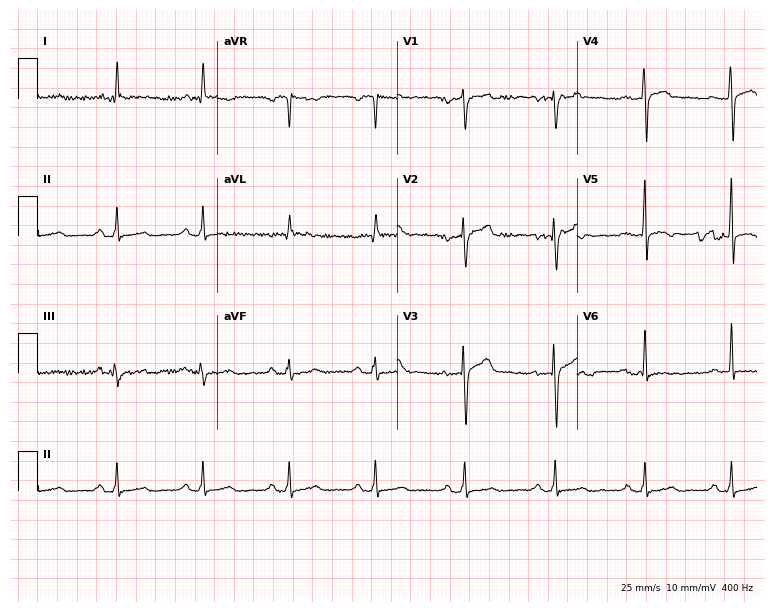
Electrocardiogram, a male, 44 years old. Of the six screened findings (first-degree AV block, right bundle branch block (RBBB), left bundle branch block (LBBB), sinus bradycardia, atrial fibrillation (AF), sinus tachycardia), none is recorded. Only these six findings were labelled.